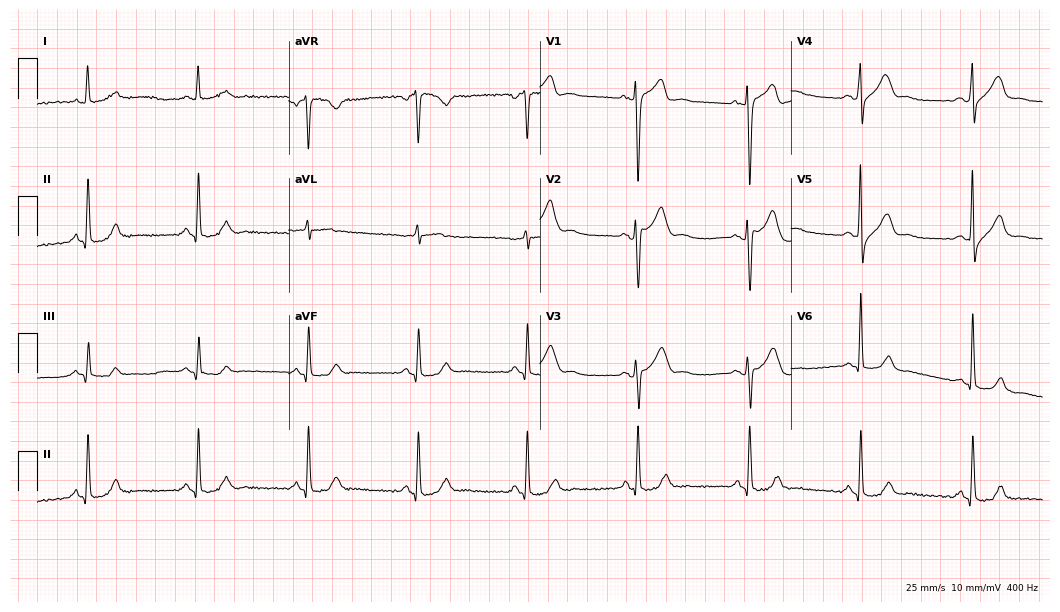
Electrocardiogram, a man, 55 years old. Overall reading on record: normal ECG.